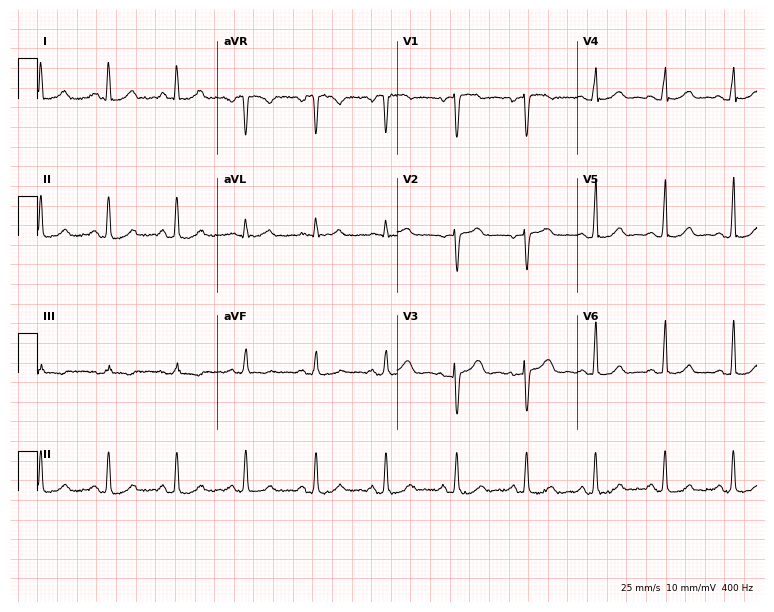
12-lead ECG from a female patient, 32 years old (7.3-second recording at 400 Hz). No first-degree AV block, right bundle branch block, left bundle branch block, sinus bradycardia, atrial fibrillation or sinus tachycardia recorded for this tracing.